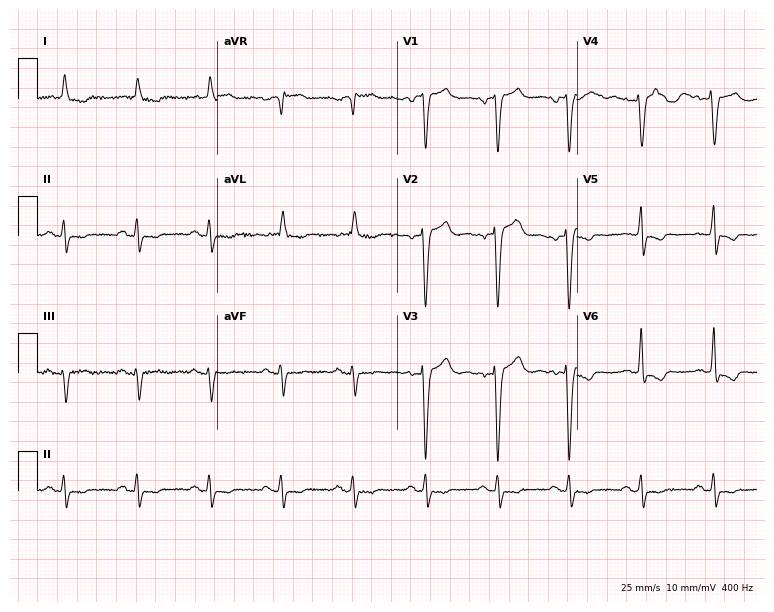
12-lead ECG (7.3-second recording at 400 Hz) from a 67-year-old man. Screened for six findings — first-degree AV block, right bundle branch block, left bundle branch block, sinus bradycardia, atrial fibrillation, sinus tachycardia — none is recorded.